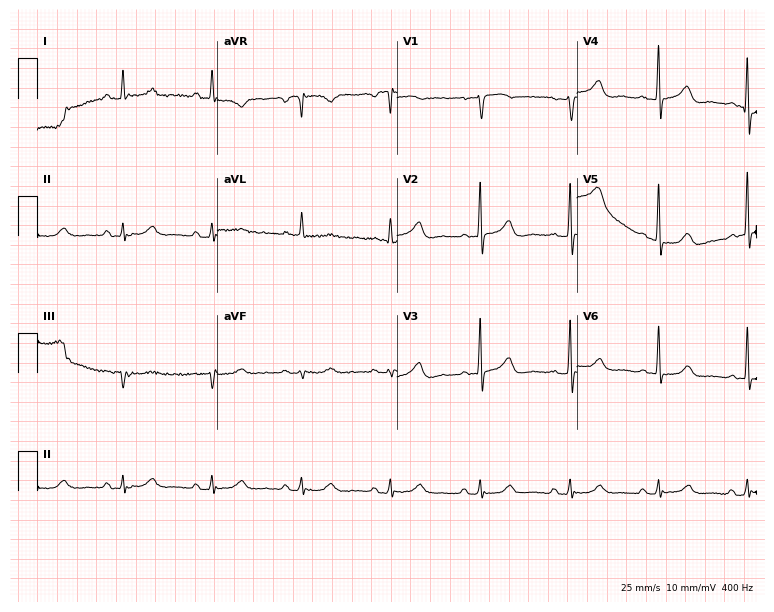
Resting 12-lead electrocardiogram (7.3-second recording at 400 Hz). Patient: a female, 81 years old. None of these six findings is recorded: first-degree AV block, right bundle branch block, left bundle branch block, sinus bradycardia, atrial fibrillation, sinus tachycardia.